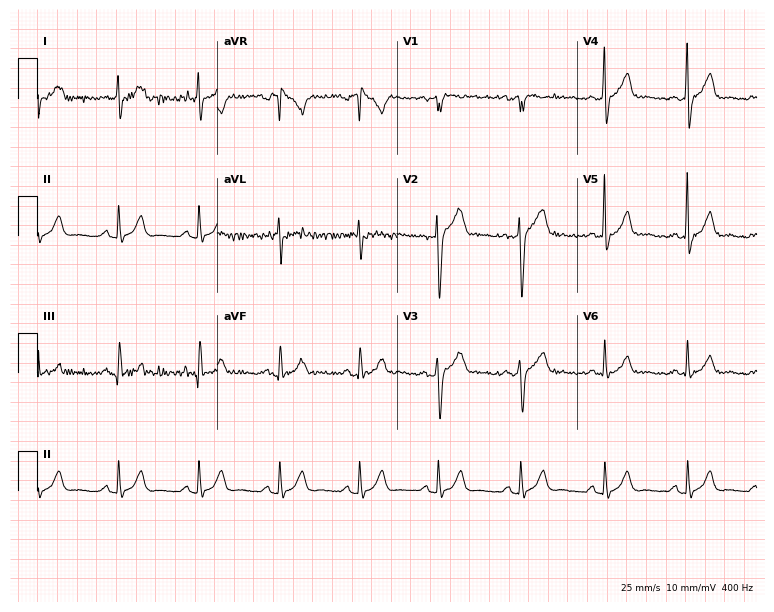
Electrocardiogram, a 39-year-old male. Overall reading on record: normal ECG.